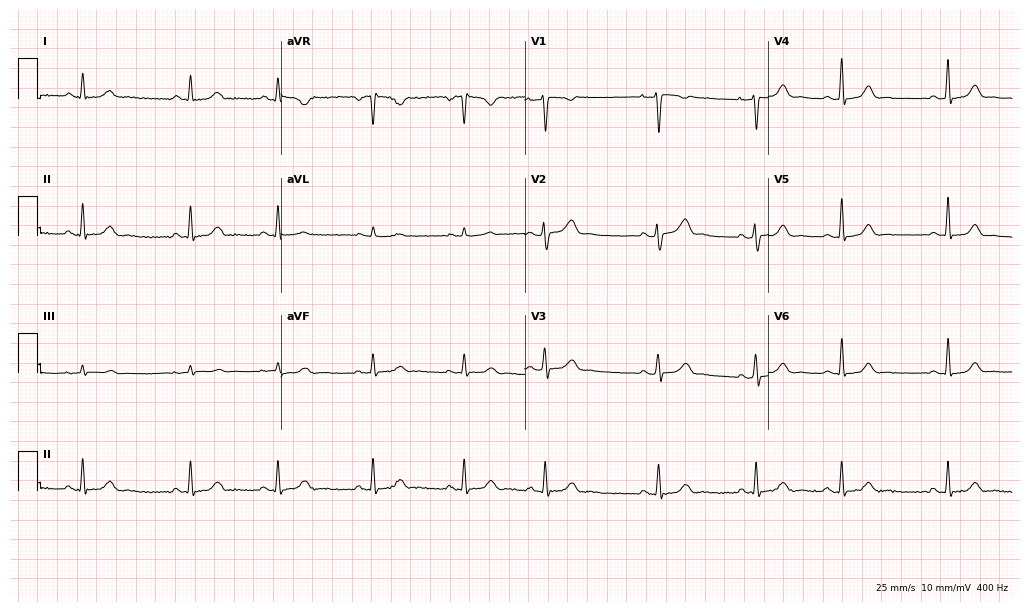
Standard 12-lead ECG recorded from a woman, 26 years old. Read as a normal ECG.